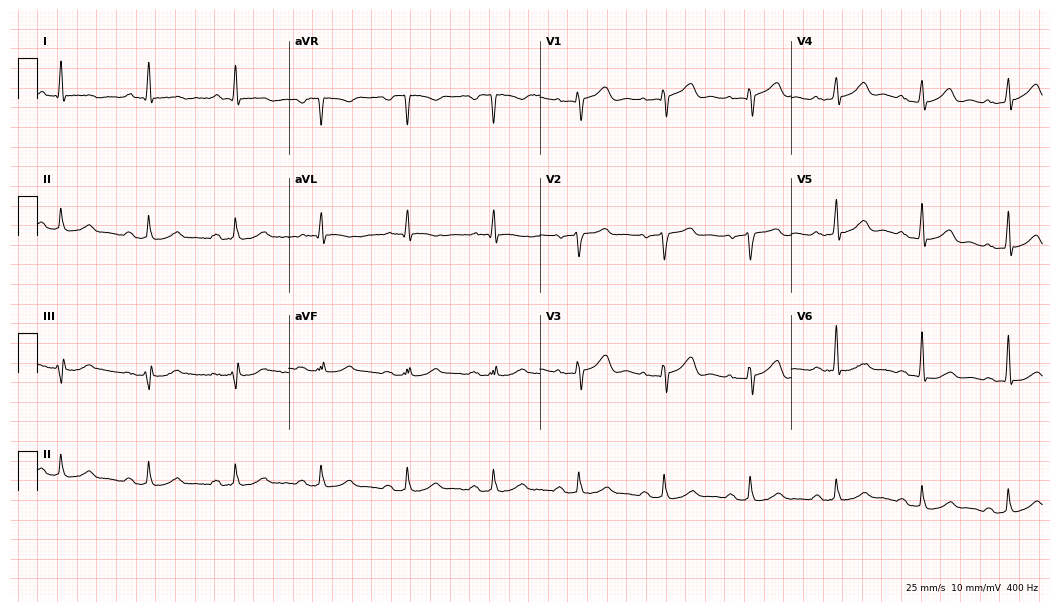
Resting 12-lead electrocardiogram. Patient: a 67-year-old man. None of these six findings is recorded: first-degree AV block, right bundle branch block (RBBB), left bundle branch block (LBBB), sinus bradycardia, atrial fibrillation (AF), sinus tachycardia. Only these six findings were labelled.